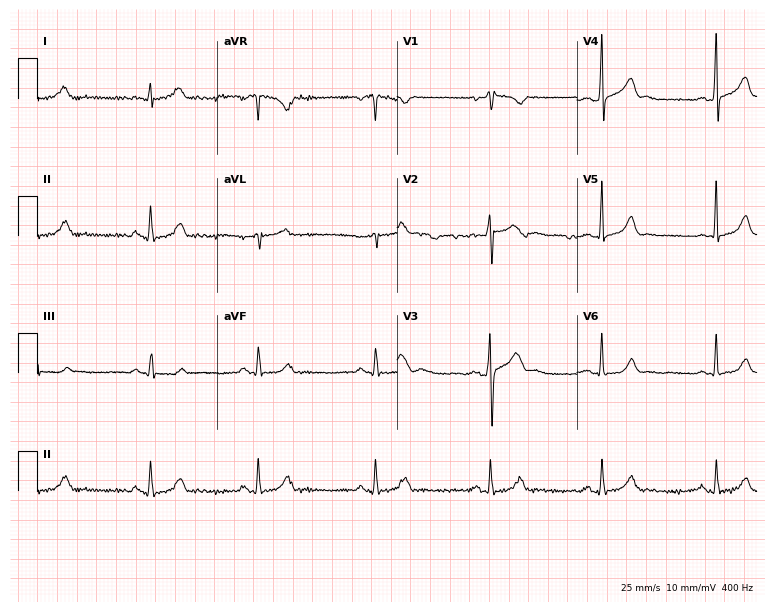
ECG (7.3-second recording at 400 Hz) — a male, 35 years old. Labelled as a normal ECG.